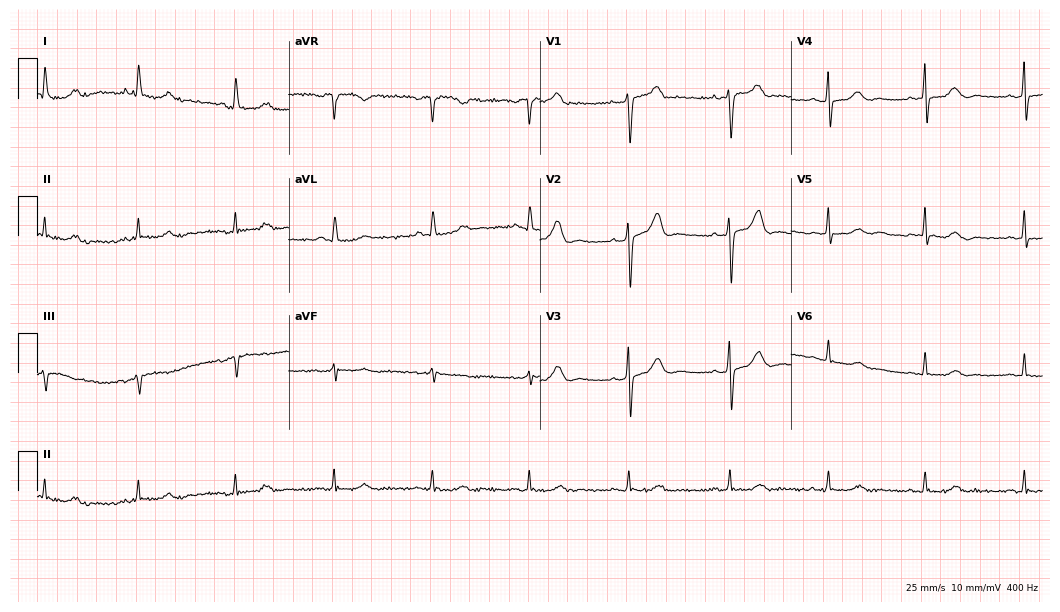
Electrocardiogram, a 70-year-old female patient. Overall reading on record: normal ECG.